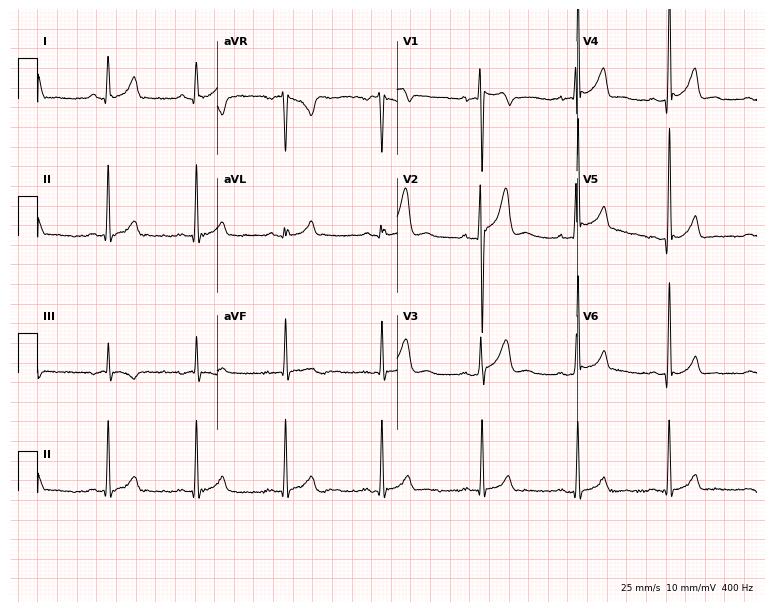
12-lead ECG from a 27-year-old man. Recorded interpretation: within normal limits.